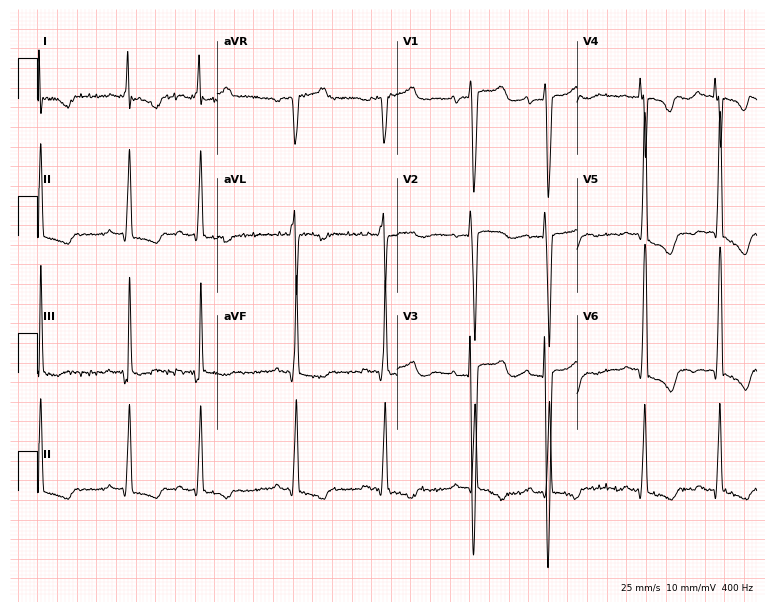
Standard 12-lead ECG recorded from a 76-year-old female. None of these six findings is recorded: first-degree AV block, right bundle branch block, left bundle branch block, sinus bradycardia, atrial fibrillation, sinus tachycardia. Only these six findings were labelled.